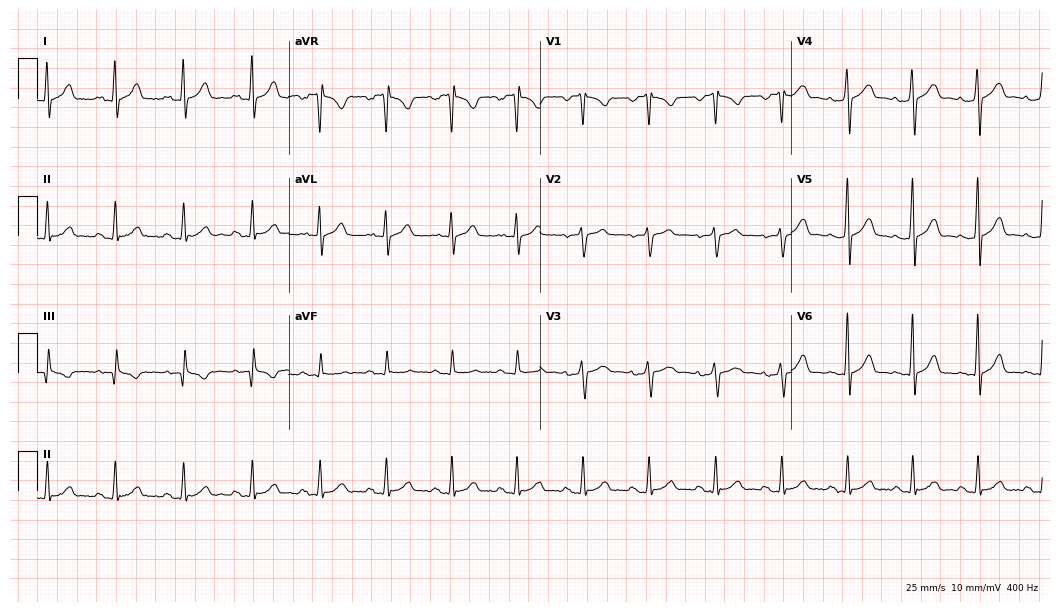
12-lead ECG from a 28-year-old male patient (10.2-second recording at 400 Hz). Recorded interpretation: within normal limits.